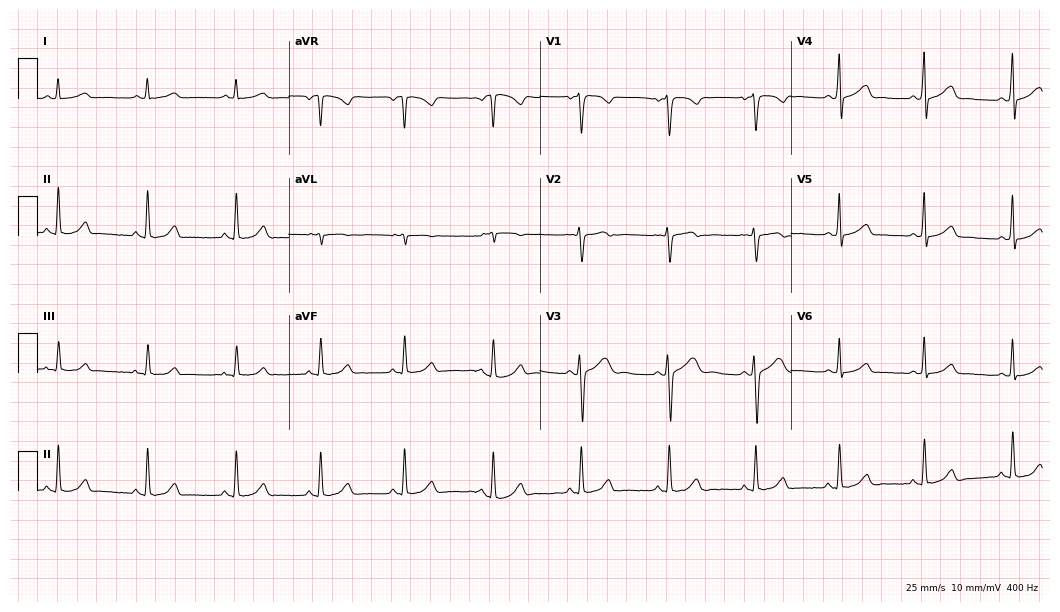
12-lead ECG from a female, 27 years old. Recorded interpretation: within normal limits.